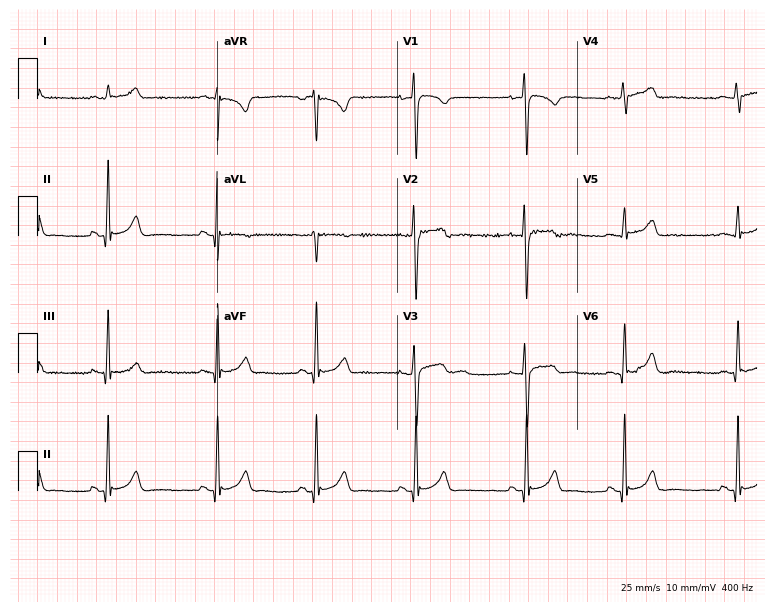
12-lead ECG from a 17-year-old male patient. Labelled as a normal ECG.